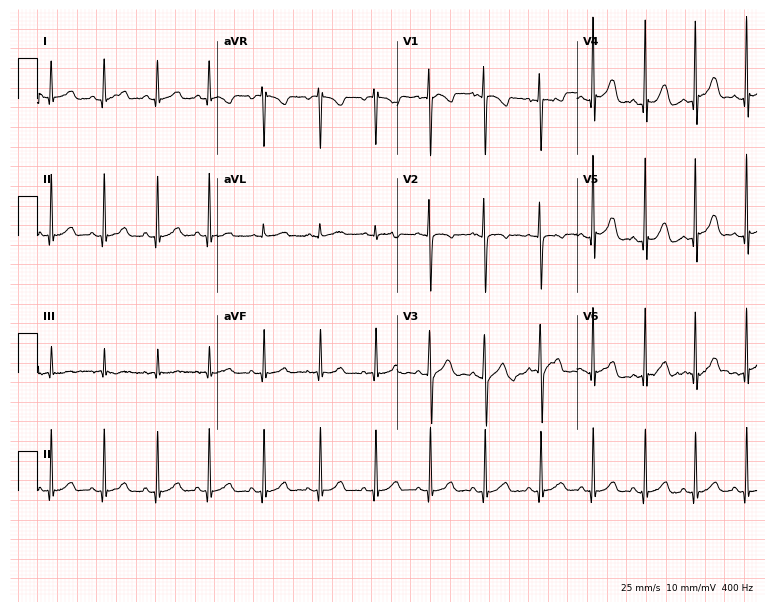
ECG (7.3-second recording at 400 Hz) — a male, 25 years old. Findings include sinus tachycardia (a sinus rate of 100 beats per minute or more).